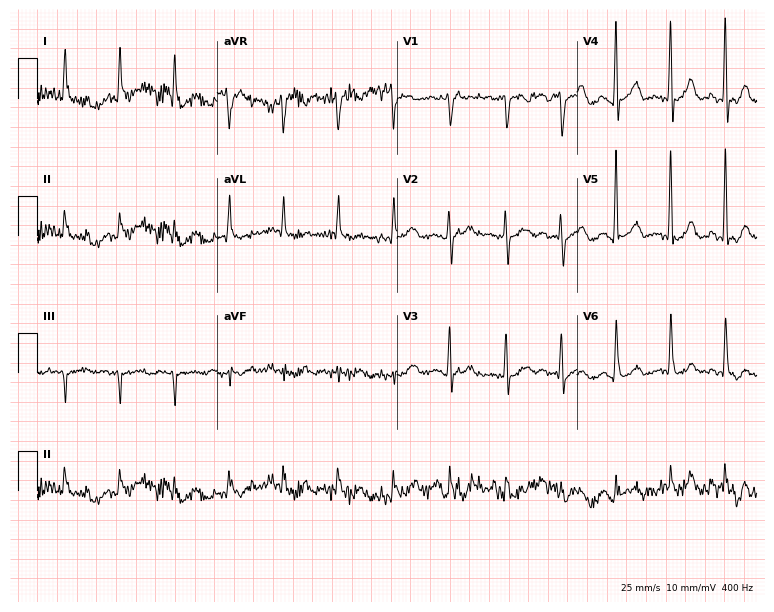
Electrocardiogram (7.3-second recording at 400 Hz), a male patient, 78 years old. Of the six screened findings (first-degree AV block, right bundle branch block (RBBB), left bundle branch block (LBBB), sinus bradycardia, atrial fibrillation (AF), sinus tachycardia), none is recorded.